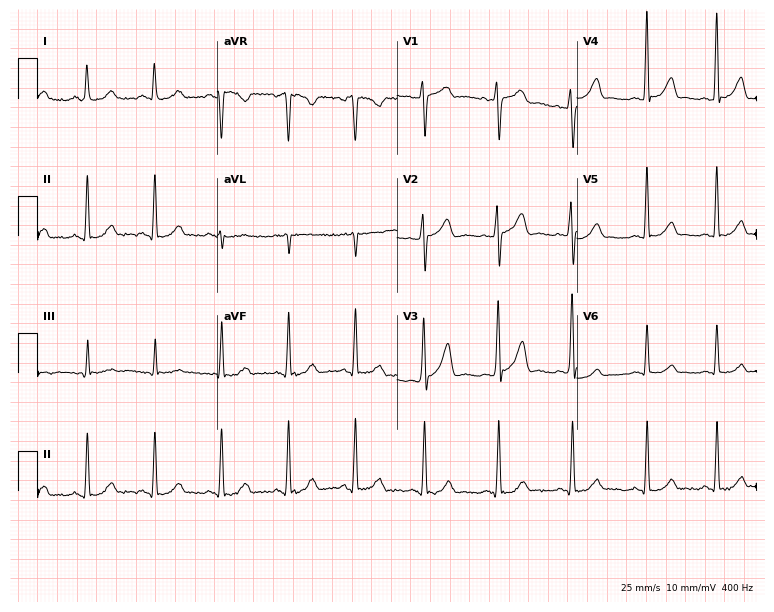
Resting 12-lead electrocardiogram (7.3-second recording at 400 Hz). Patient: a 40-year-old female. None of these six findings is recorded: first-degree AV block, right bundle branch block (RBBB), left bundle branch block (LBBB), sinus bradycardia, atrial fibrillation (AF), sinus tachycardia.